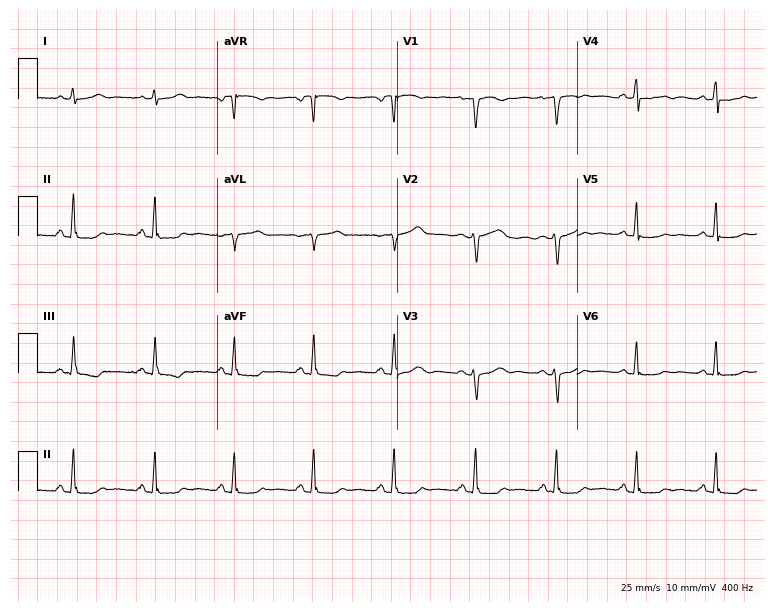
12-lead ECG from a female, 50 years old. No first-degree AV block, right bundle branch block (RBBB), left bundle branch block (LBBB), sinus bradycardia, atrial fibrillation (AF) or sinus tachycardia recorded for this tracing. Only these six findings were labelled.